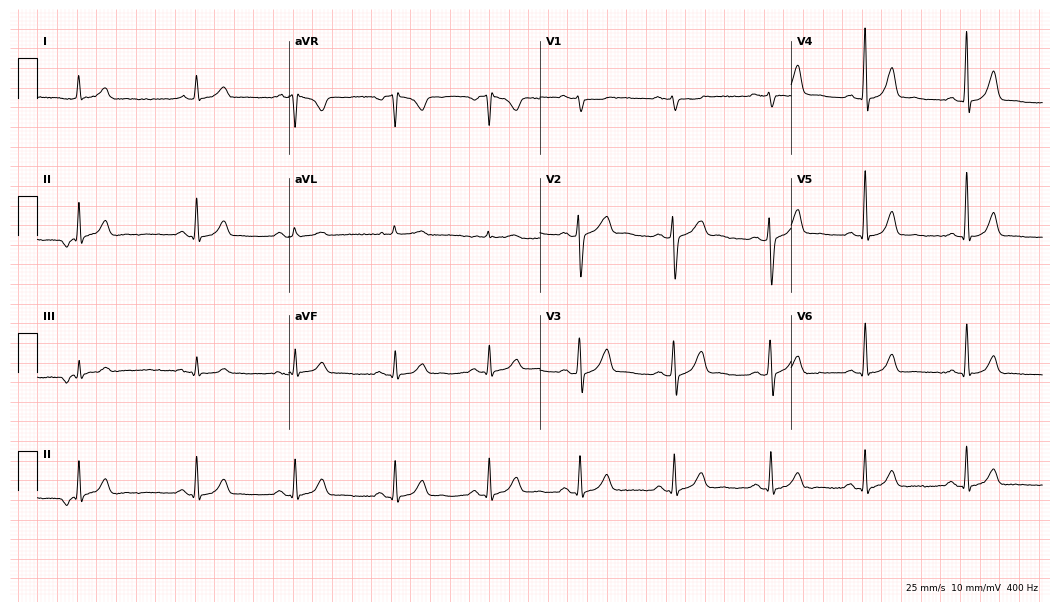
12-lead ECG from a male, 49 years old. Screened for six findings — first-degree AV block, right bundle branch block, left bundle branch block, sinus bradycardia, atrial fibrillation, sinus tachycardia — none is recorded. Other findings, if any, are not listed.